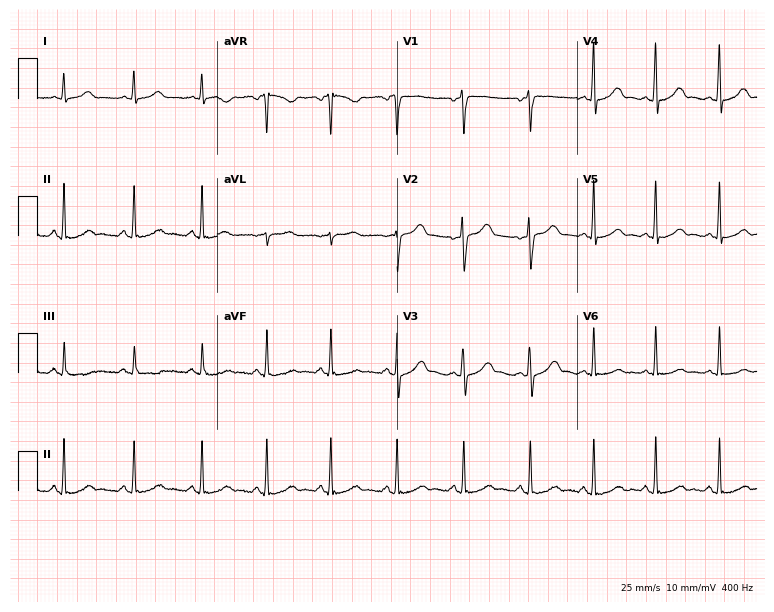
12-lead ECG from a female patient, 29 years old. Recorded interpretation: within normal limits.